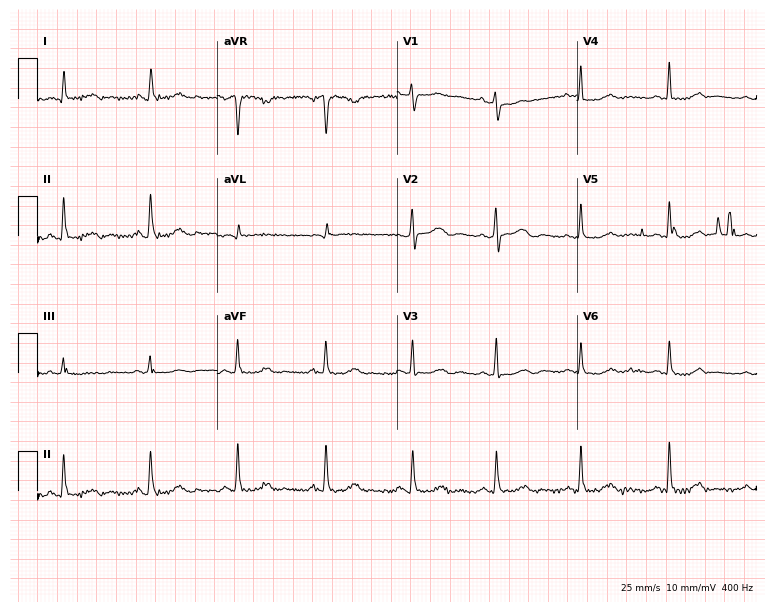
12-lead ECG from a female patient, 70 years old (7.3-second recording at 400 Hz). No first-degree AV block, right bundle branch block, left bundle branch block, sinus bradycardia, atrial fibrillation or sinus tachycardia recorded for this tracing.